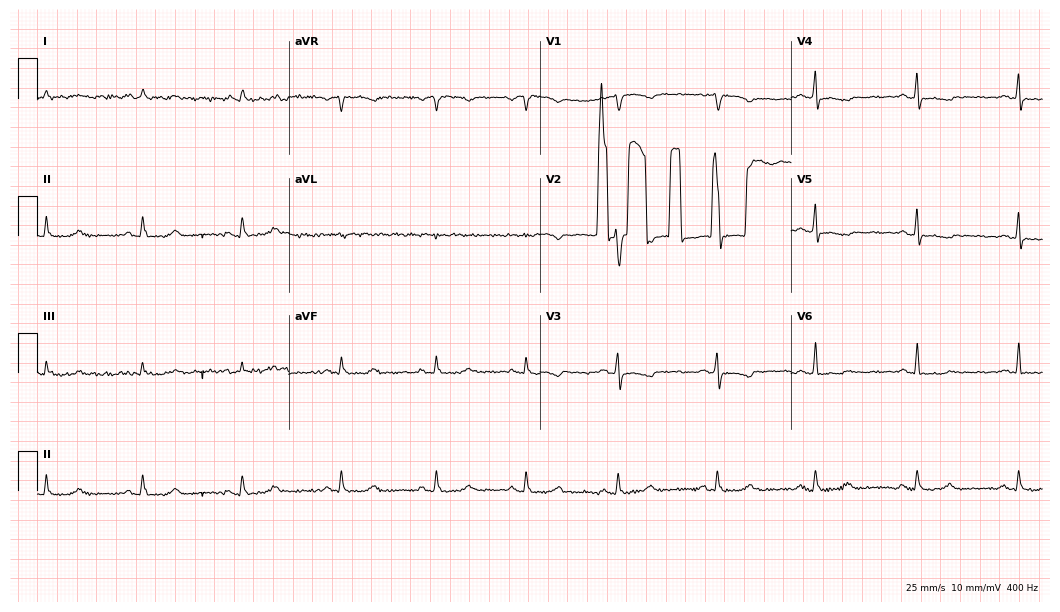
Resting 12-lead electrocardiogram (10.2-second recording at 400 Hz). Patient: a female, 49 years old. None of these six findings is recorded: first-degree AV block, right bundle branch block, left bundle branch block, sinus bradycardia, atrial fibrillation, sinus tachycardia. Only these six findings were labelled.